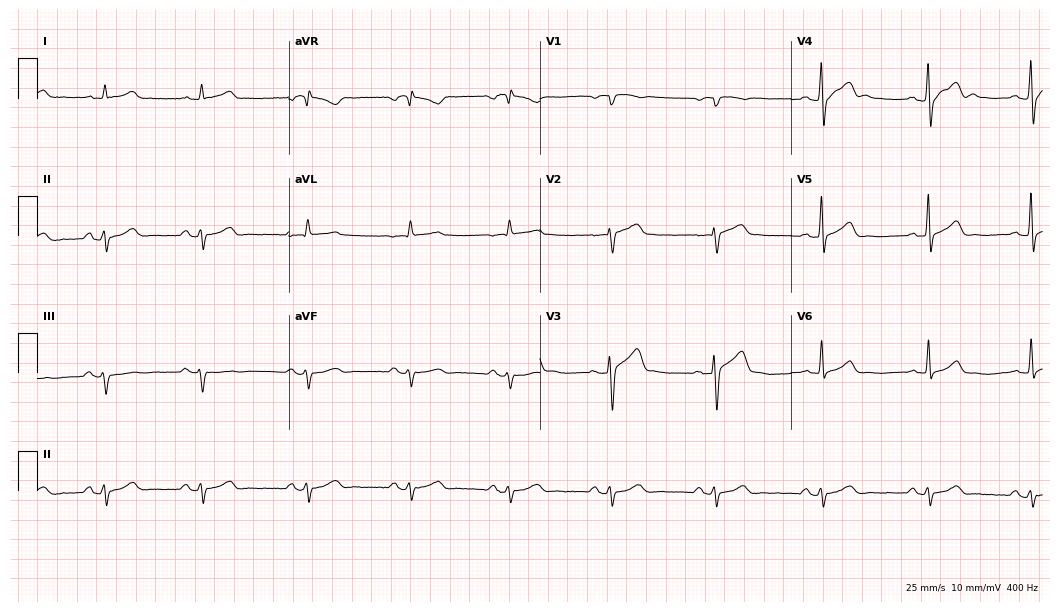
Resting 12-lead electrocardiogram (10.2-second recording at 400 Hz). Patient: a male, 57 years old. None of these six findings is recorded: first-degree AV block, right bundle branch block, left bundle branch block, sinus bradycardia, atrial fibrillation, sinus tachycardia. Other findings, if any, are not listed.